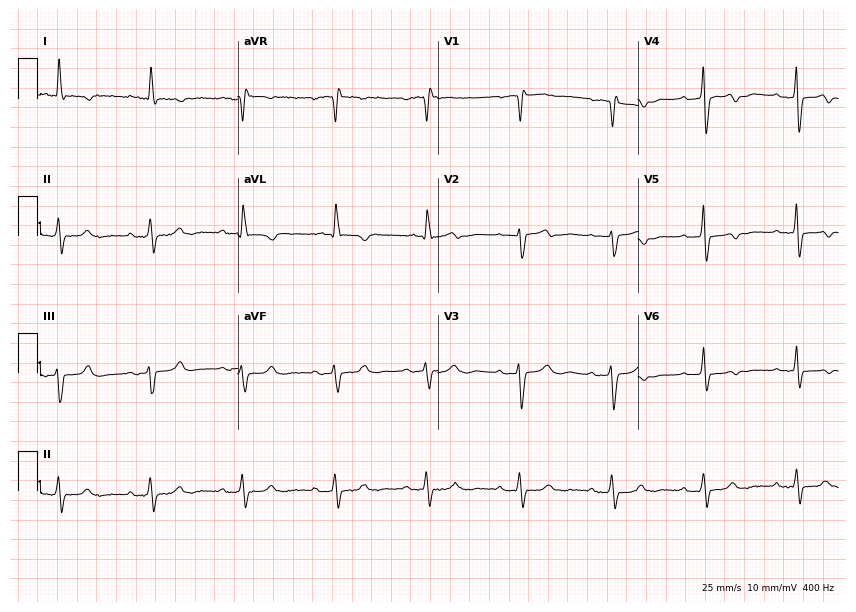
Resting 12-lead electrocardiogram. Patient: a 79-year-old woman. The tracing shows first-degree AV block.